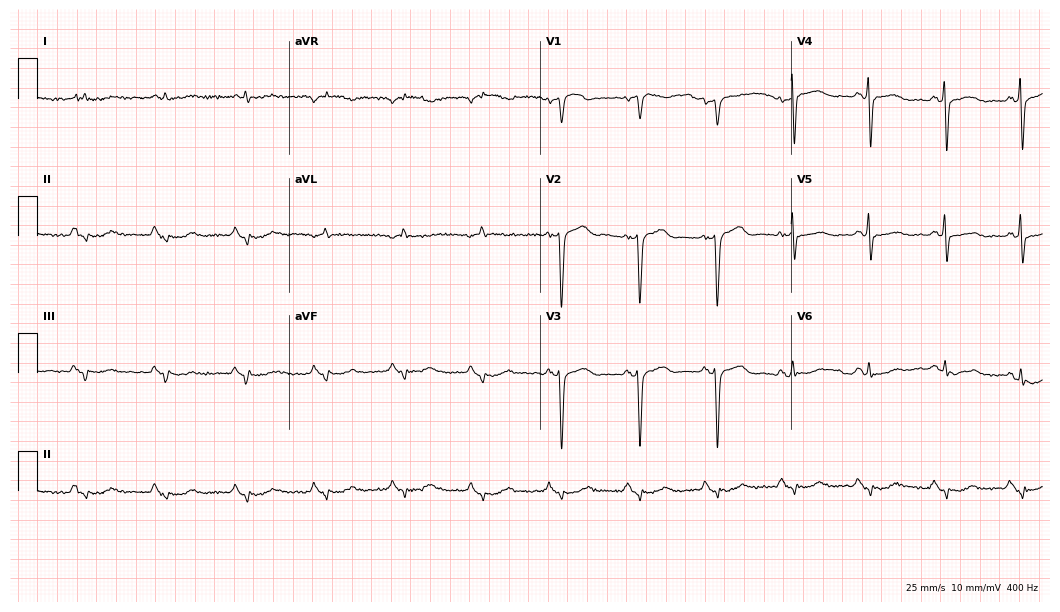
12-lead ECG from a 74-year-old man (10.2-second recording at 400 Hz). No first-degree AV block, right bundle branch block (RBBB), left bundle branch block (LBBB), sinus bradycardia, atrial fibrillation (AF) or sinus tachycardia recorded for this tracing.